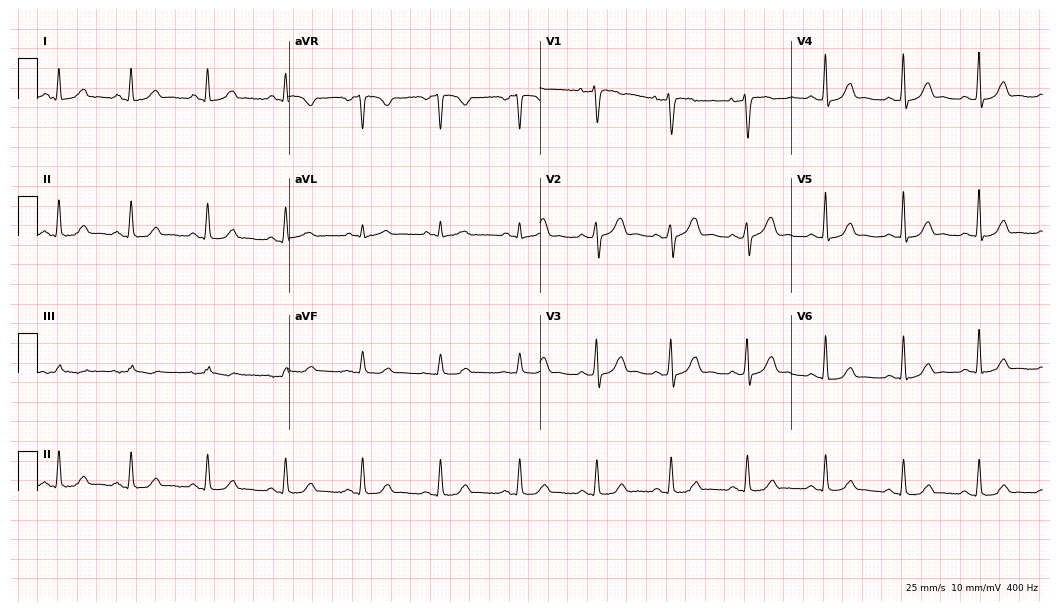
Resting 12-lead electrocardiogram (10.2-second recording at 400 Hz). Patient: a woman, 40 years old. Read as a normal ECG.